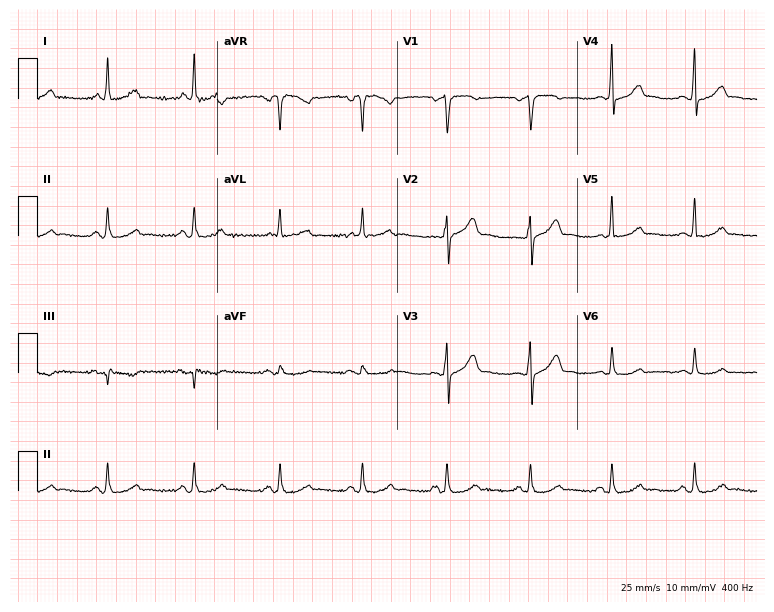
12-lead ECG from a female, 53 years old. Recorded interpretation: within normal limits.